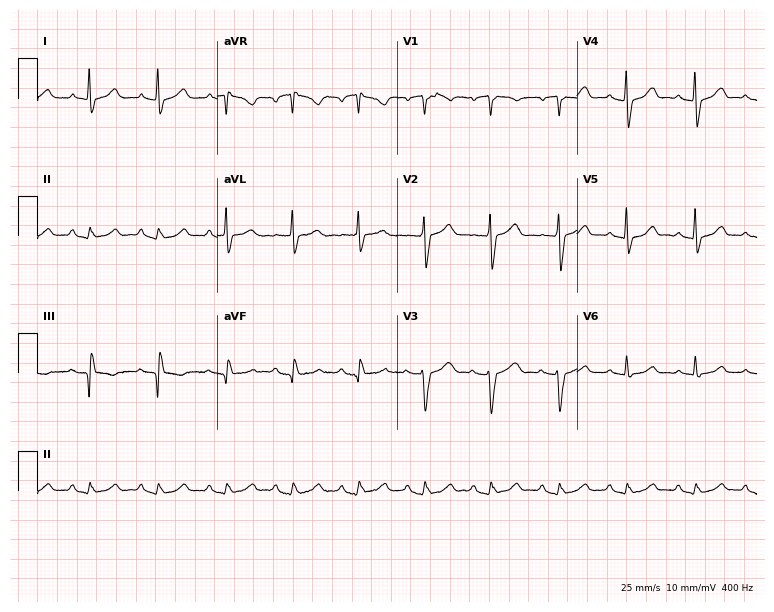
Standard 12-lead ECG recorded from a woman, 80 years old (7.3-second recording at 400 Hz). Read as a normal ECG.